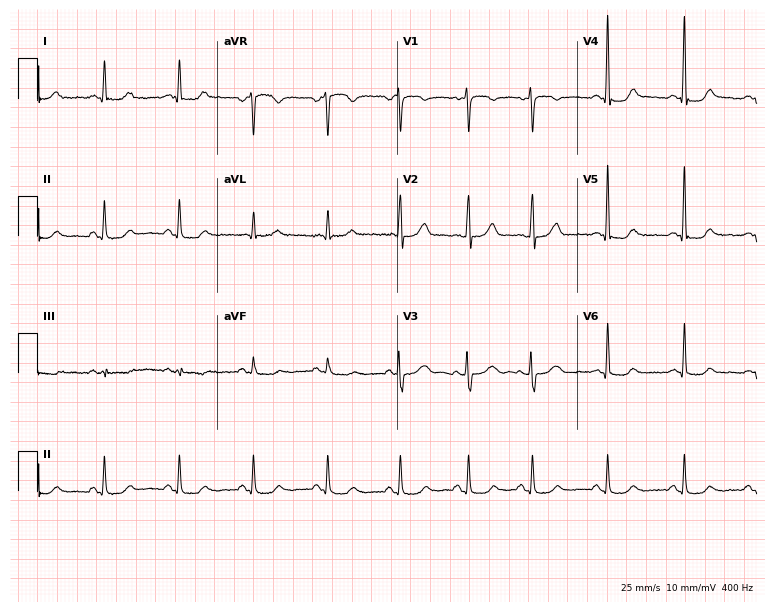
12-lead ECG (7.3-second recording at 400 Hz) from a 46-year-old female. Screened for six findings — first-degree AV block, right bundle branch block (RBBB), left bundle branch block (LBBB), sinus bradycardia, atrial fibrillation (AF), sinus tachycardia — none is recorded.